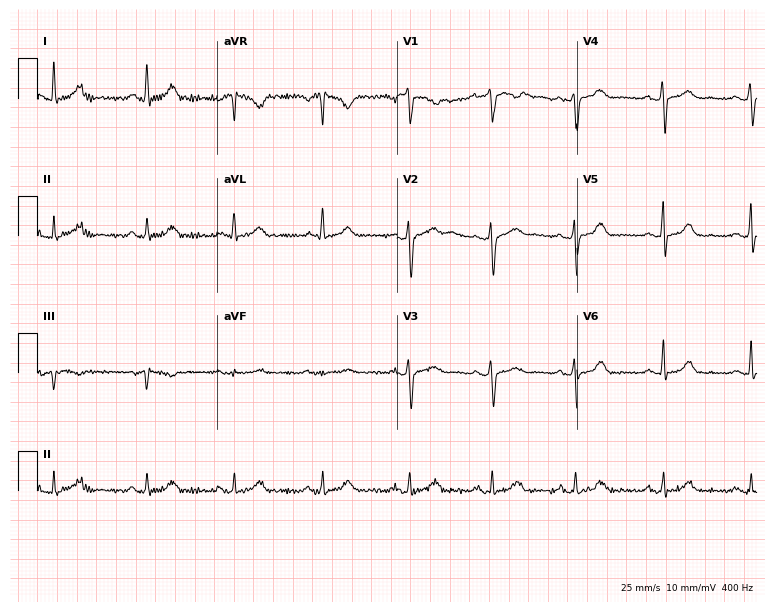
12-lead ECG from a 57-year-old female (7.3-second recording at 400 Hz). Recorded interpretation: within normal limits.